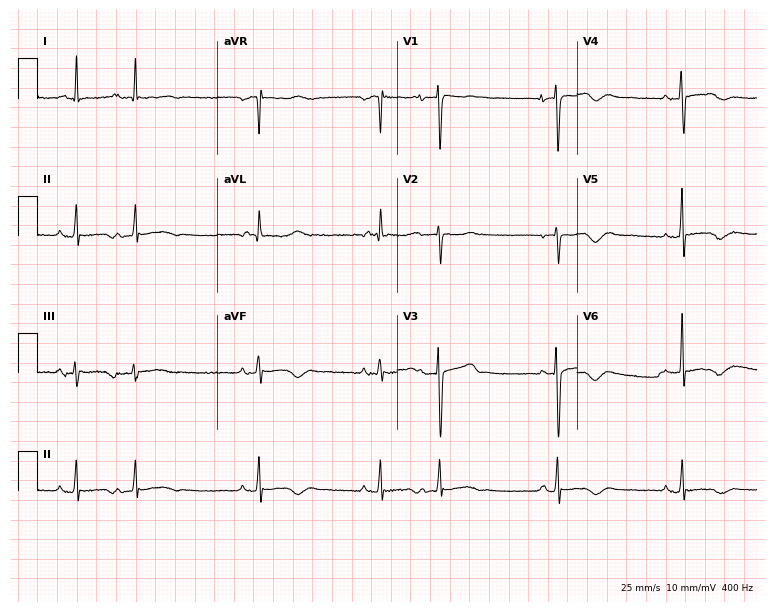
Electrocardiogram, an 80-year-old female patient. Of the six screened findings (first-degree AV block, right bundle branch block (RBBB), left bundle branch block (LBBB), sinus bradycardia, atrial fibrillation (AF), sinus tachycardia), none is recorded.